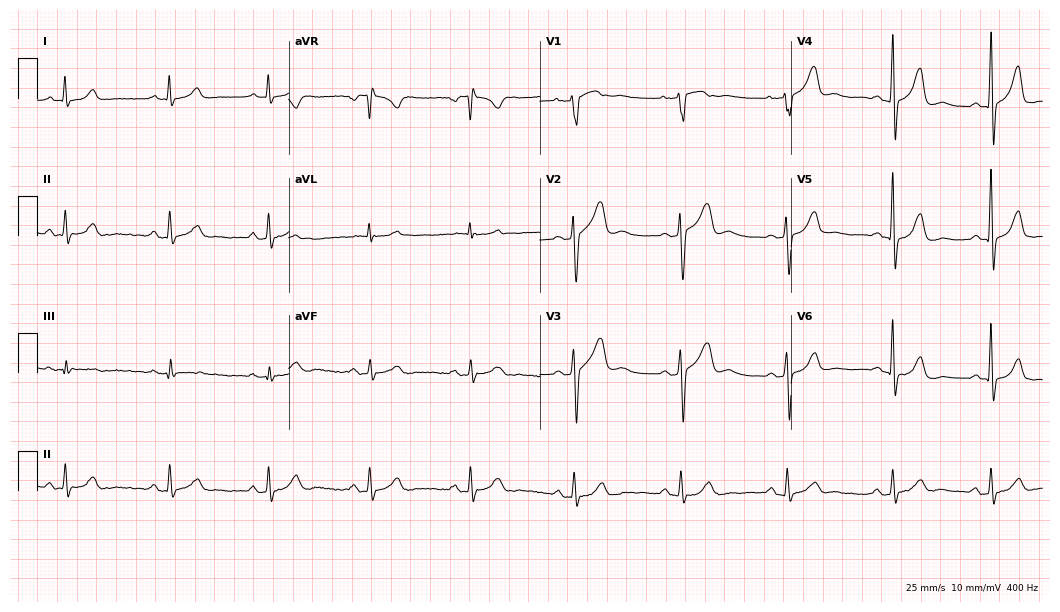
Resting 12-lead electrocardiogram (10.2-second recording at 400 Hz). Patient: a female, 37 years old. Read as a normal ECG.